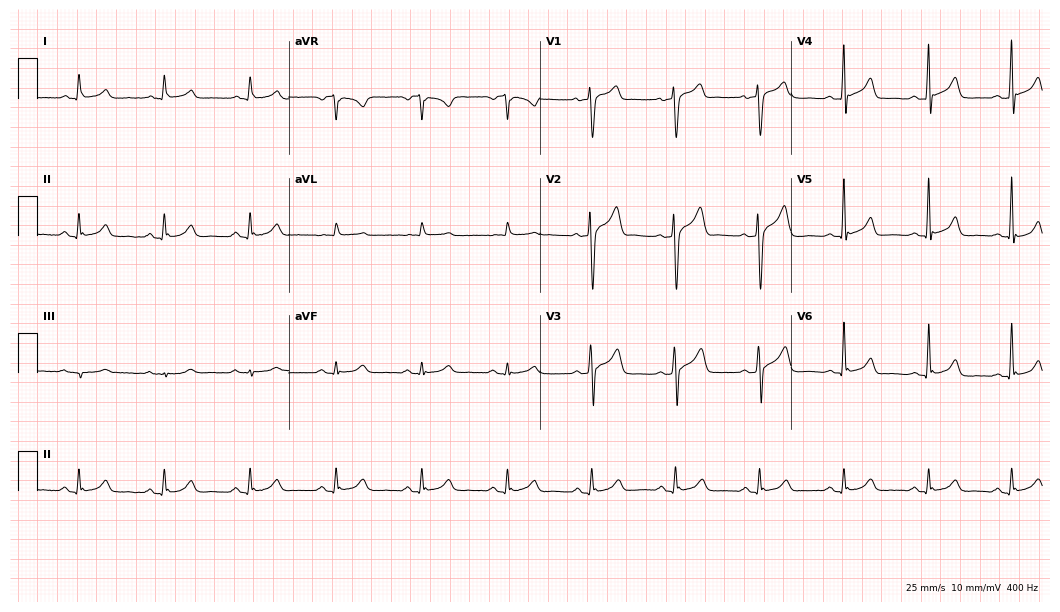
12-lead ECG from a 55-year-old man (10.2-second recording at 400 Hz). No first-degree AV block, right bundle branch block (RBBB), left bundle branch block (LBBB), sinus bradycardia, atrial fibrillation (AF) or sinus tachycardia recorded for this tracing. Only these six findings were labelled.